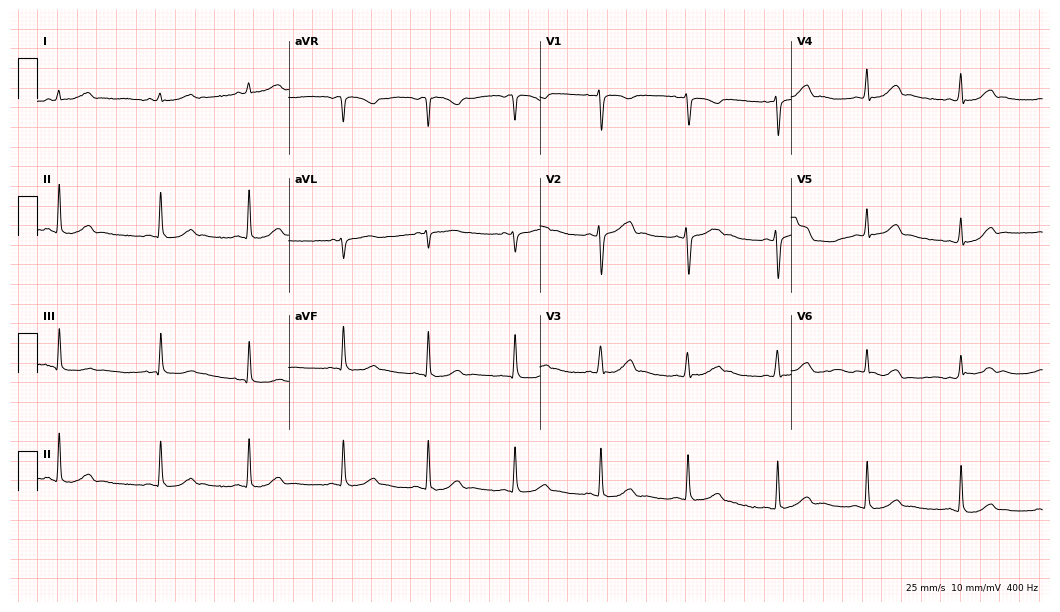
Resting 12-lead electrocardiogram. Patient: a female, 28 years old. Read as a normal ECG.